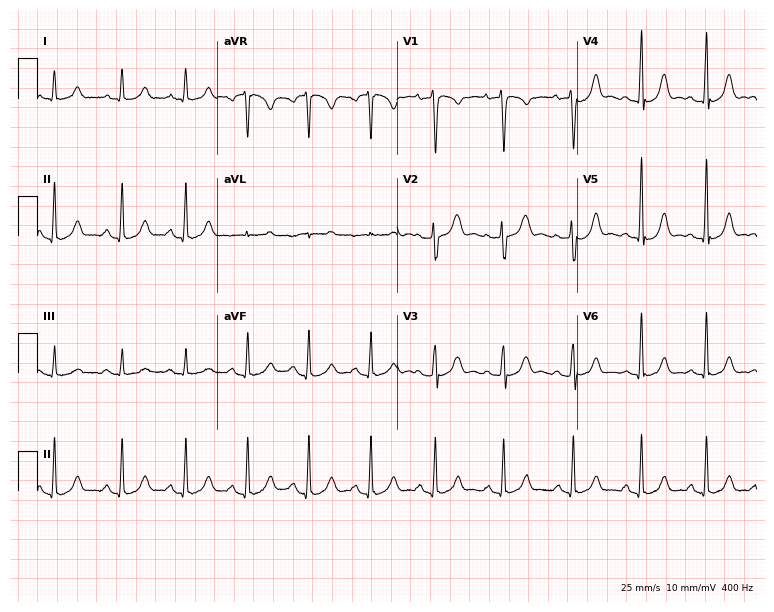
ECG — a 34-year-old woman. Labelled as a normal ECG.